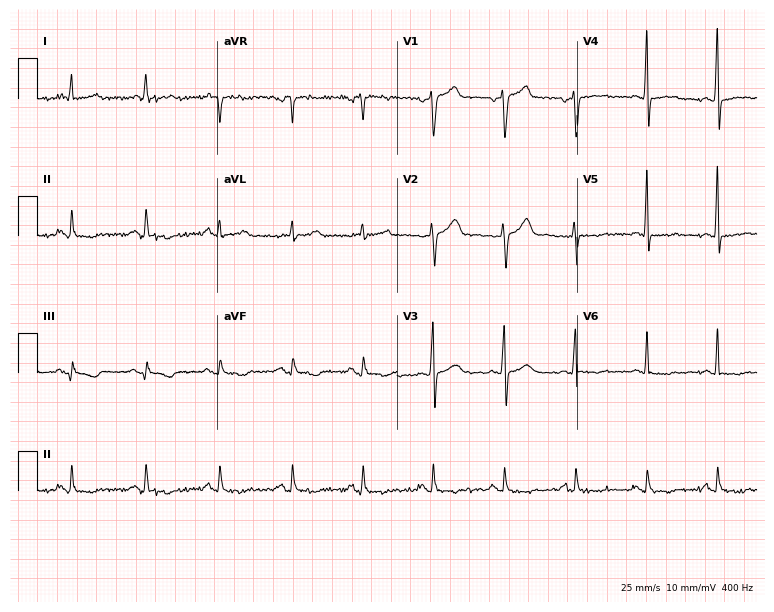
12-lead ECG from a male patient, 51 years old. No first-degree AV block, right bundle branch block, left bundle branch block, sinus bradycardia, atrial fibrillation or sinus tachycardia recorded for this tracing.